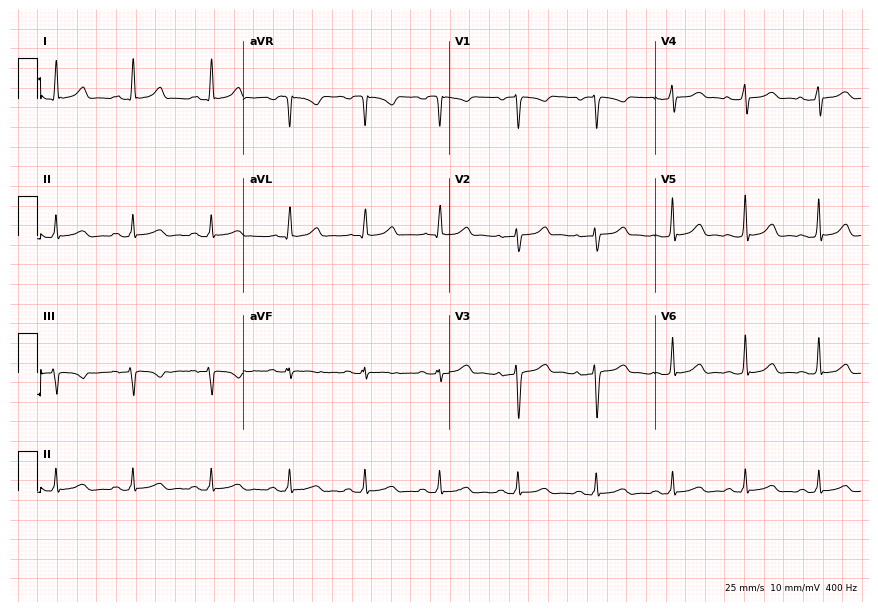
Standard 12-lead ECG recorded from a 36-year-old female. Read as a normal ECG.